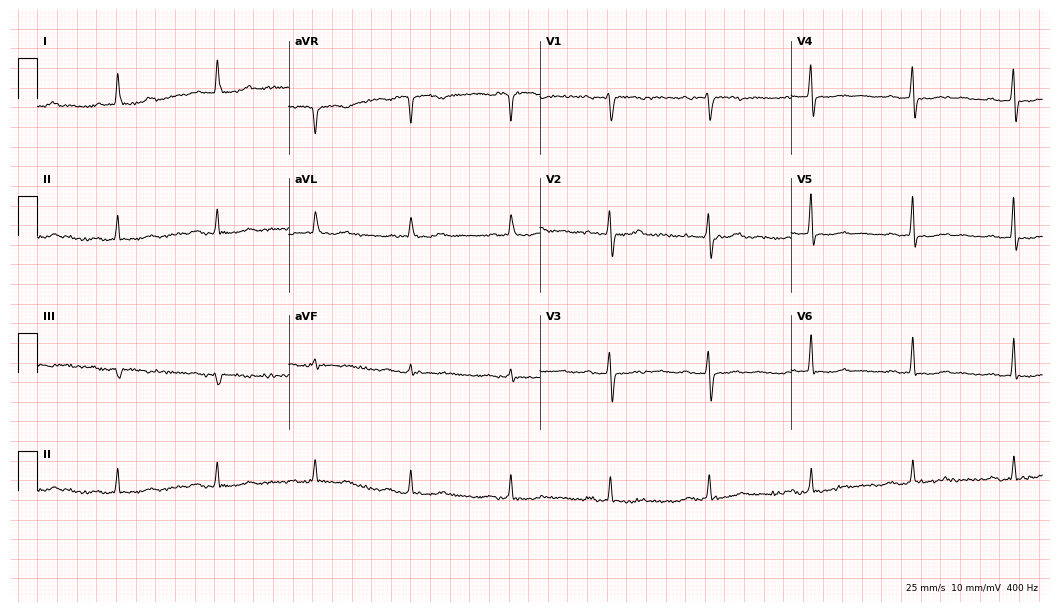
Resting 12-lead electrocardiogram (10.2-second recording at 400 Hz). Patient: a 66-year-old female. None of these six findings is recorded: first-degree AV block, right bundle branch block (RBBB), left bundle branch block (LBBB), sinus bradycardia, atrial fibrillation (AF), sinus tachycardia. Findings outside these six are not listed.